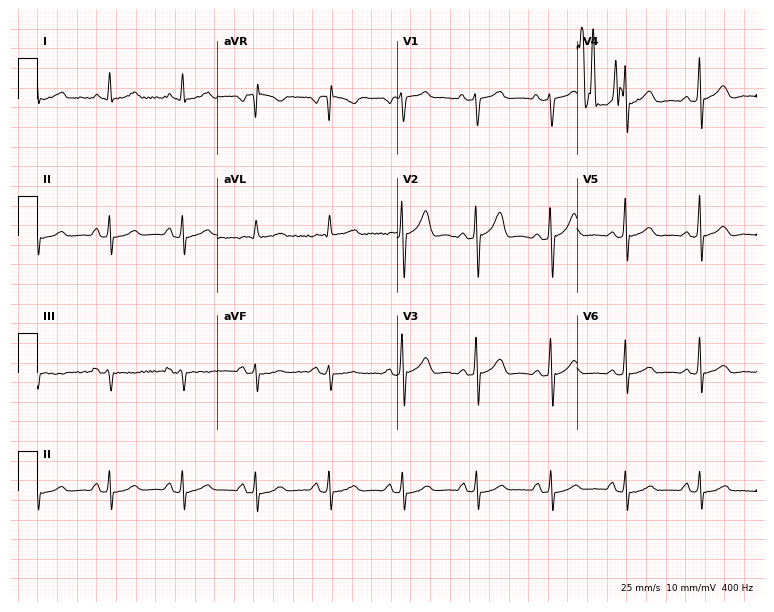
Standard 12-lead ECG recorded from a female, 53 years old. None of these six findings is recorded: first-degree AV block, right bundle branch block (RBBB), left bundle branch block (LBBB), sinus bradycardia, atrial fibrillation (AF), sinus tachycardia.